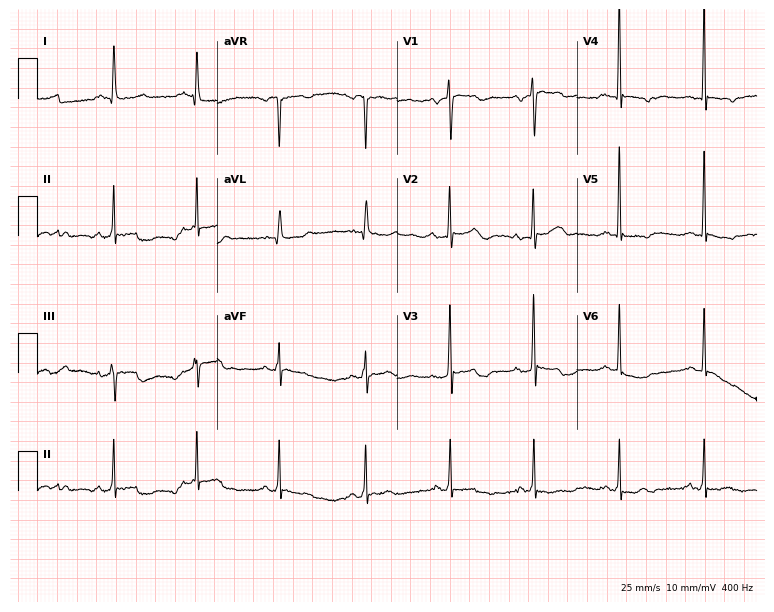
12-lead ECG (7.3-second recording at 400 Hz) from a 78-year-old female patient. Screened for six findings — first-degree AV block, right bundle branch block (RBBB), left bundle branch block (LBBB), sinus bradycardia, atrial fibrillation (AF), sinus tachycardia — none is recorded. Findings outside these six are not listed.